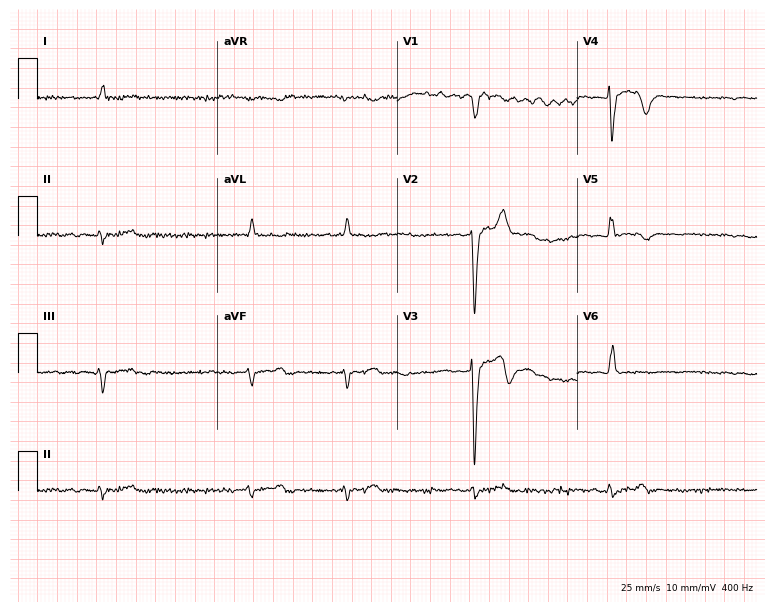
12-lead ECG (7.3-second recording at 400 Hz) from a 73-year-old man. Screened for six findings — first-degree AV block, right bundle branch block, left bundle branch block, sinus bradycardia, atrial fibrillation, sinus tachycardia — none is recorded.